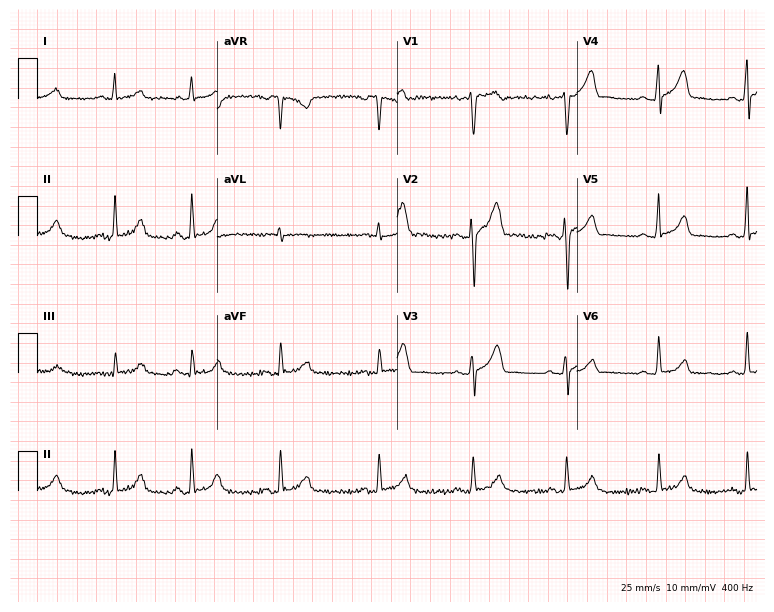
Electrocardiogram (7.3-second recording at 400 Hz), a male patient, 23 years old. Overall reading on record: normal ECG.